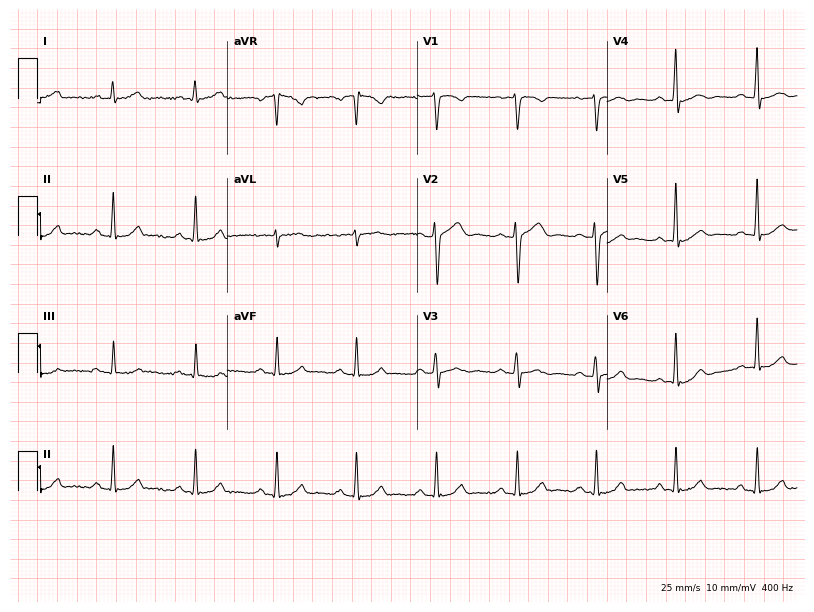
Standard 12-lead ECG recorded from a 45-year-old man (7.7-second recording at 400 Hz). Read as a normal ECG.